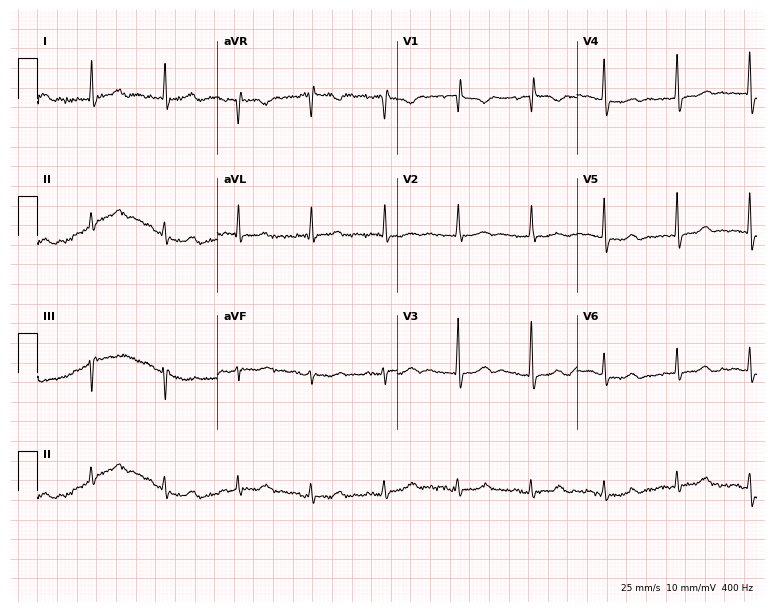
12-lead ECG (7.3-second recording at 400 Hz) from a woman, 77 years old. Screened for six findings — first-degree AV block, right bundle branch block, left bundle branch block, sinus bradycardia, atrial fibrillation, sinus tachycardia — none is recorded. Only these six findings were labelled.